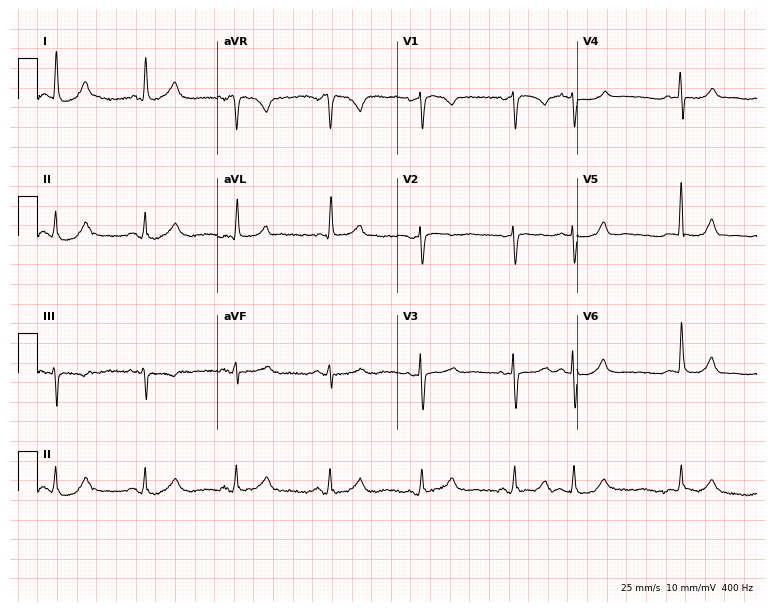
Resting 12-lead electrocardiogram. Patient: a female, 69 years old. None of these six findings is recorded: first-degree AV block, right bundle branch block, left bundle branch block, sinus bradycardia, atrial fibrillation, sinus tachycardia. Other findings, if any, are not listed.